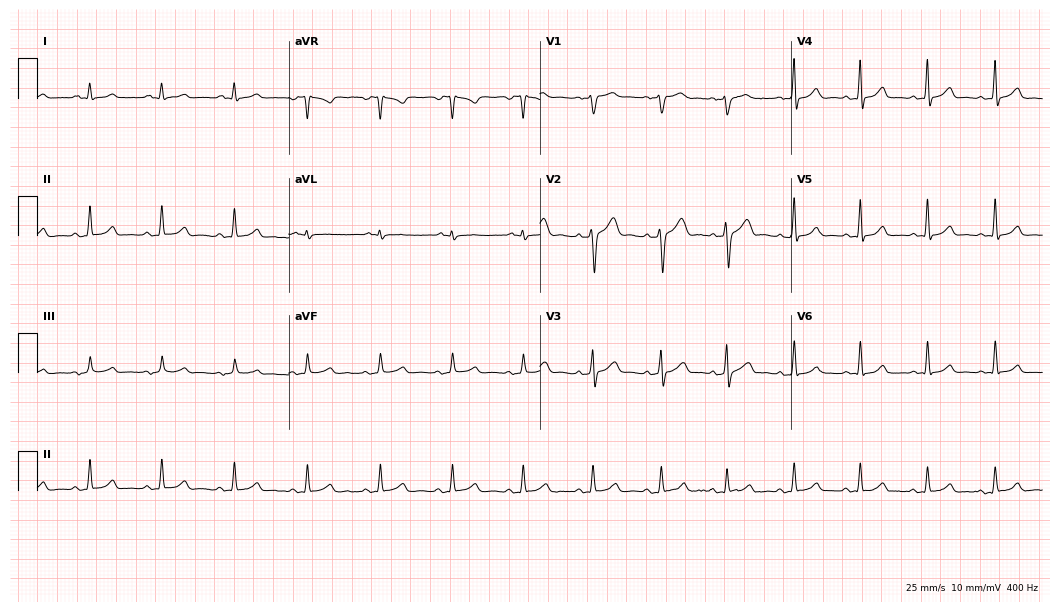
Resting 12-lead electrocardiogram. Patient: a 25-year-old man. Read as a normal ECG.